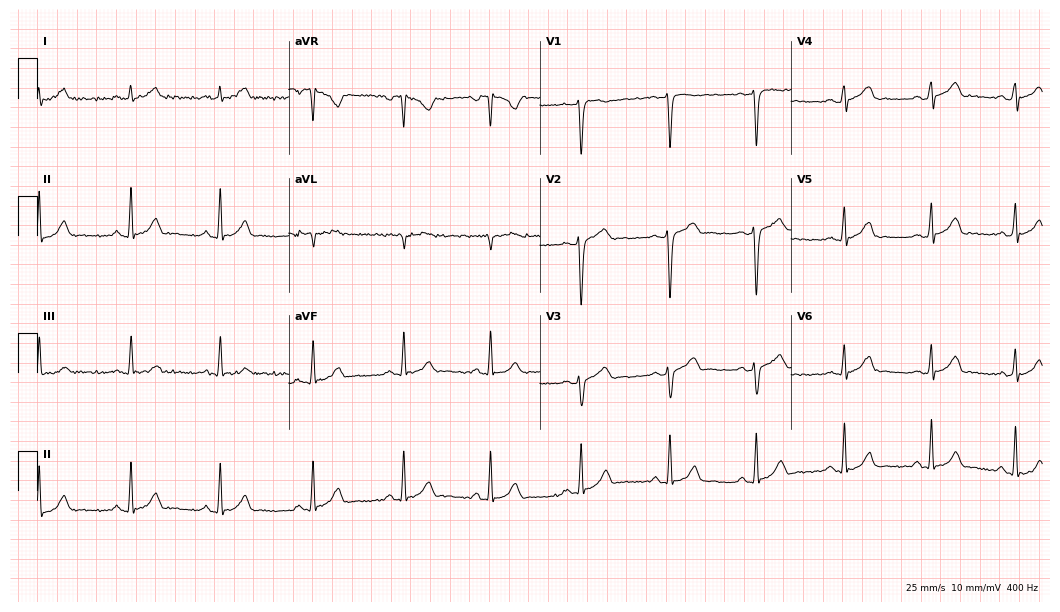
Electrocardiogram (10.2-second recording at 400 Hz), a male, 26 years old. Overall reading on record: normal ECG.